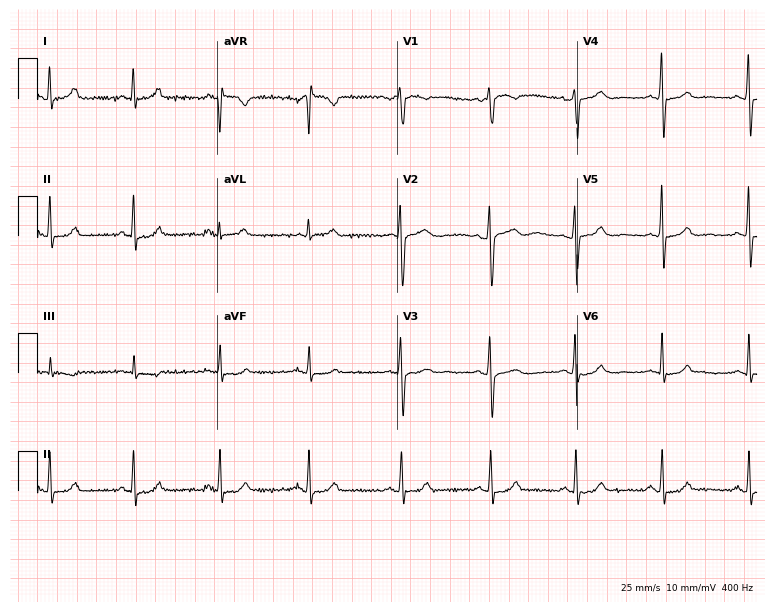
ECG (7.3-second recording at 400 Hz) — a female patient, 34 years old. Screened for six findings — first-degree AV block, right bundle branch block, left bundle branch block, sinus bradycardia, atrial fibrillation, sinus tachycardia — none is recorded. Other findings, if any, are not listed.